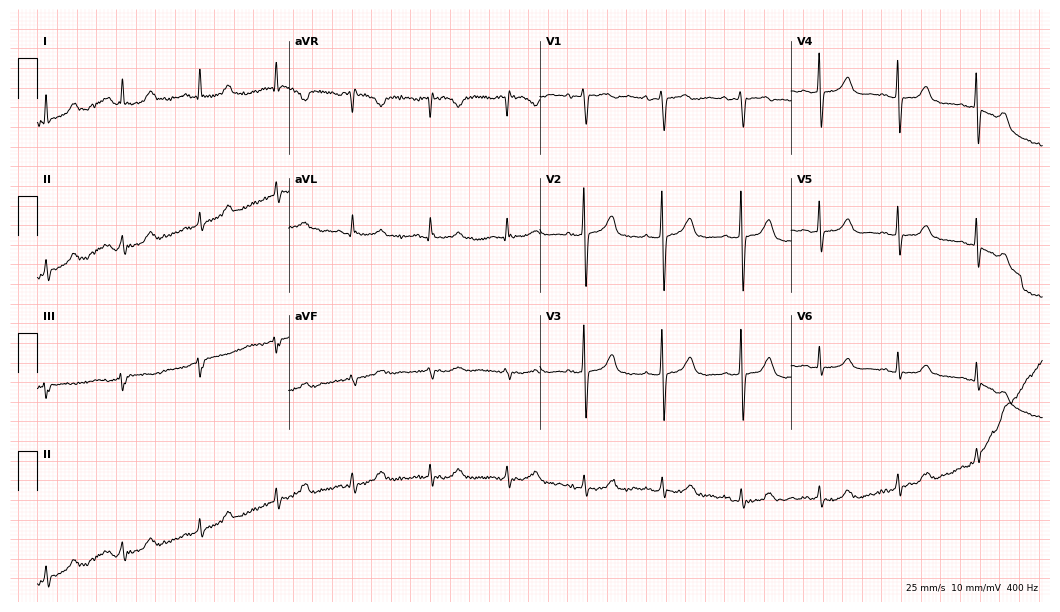
12-lead ECG from a female, 61 years old. Labelled as a normal ECG.